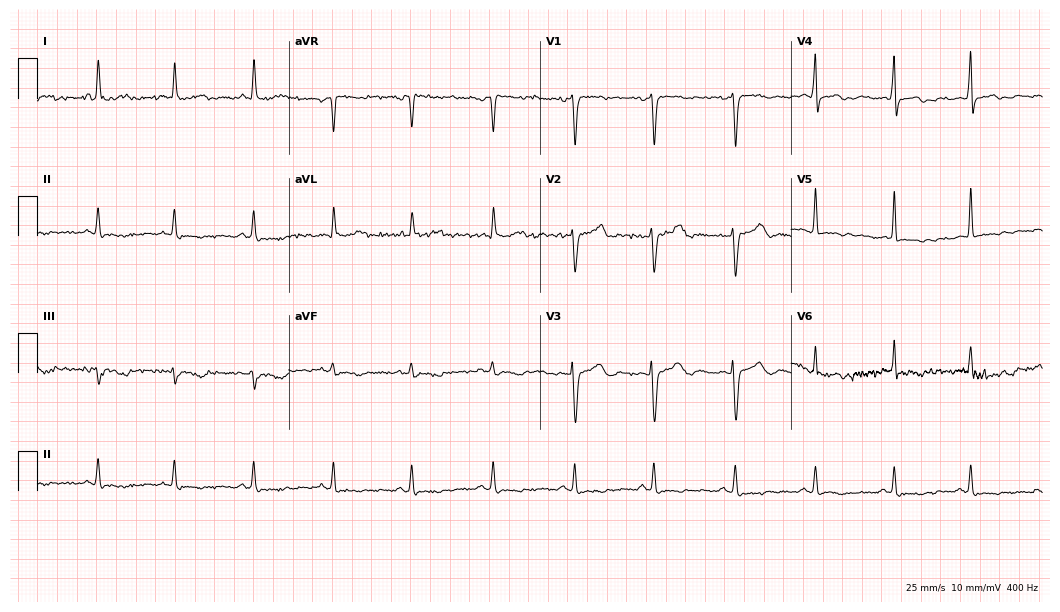
12-lead ECG from a female patient, 50 years old (10.2-second recording at 400 Hz). No first-degree AV block, right bundle branch block, left bundle branch block, sinus bradycardia, atrial fibrillation or sinus tachycardia recorded for this tracing.